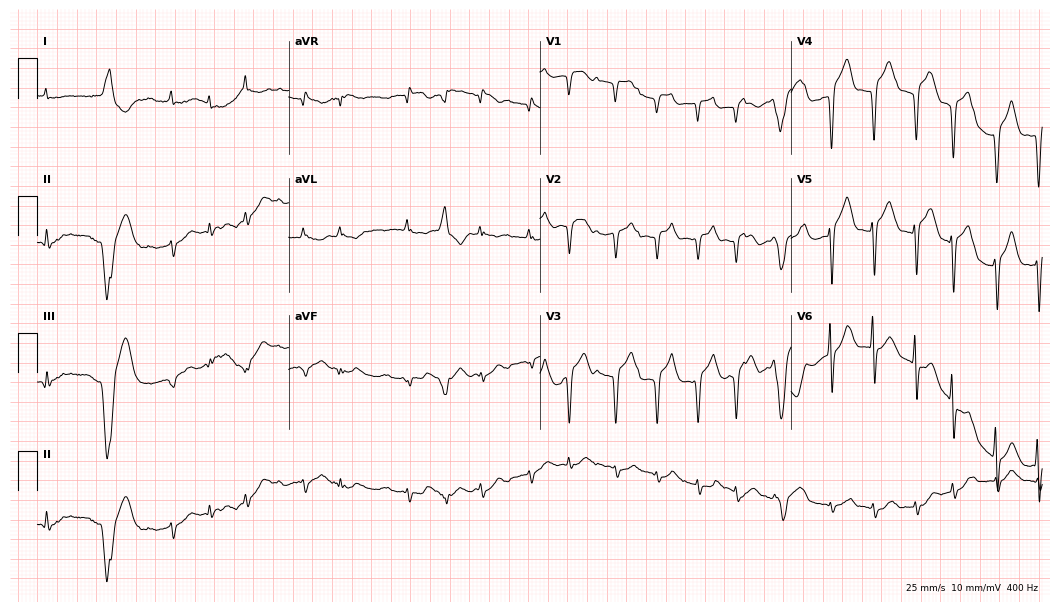
Electrocardiogram (10.2-second recording at 400 Hz), a man, 75 years old. Interpretation includes atrial fibrillation.